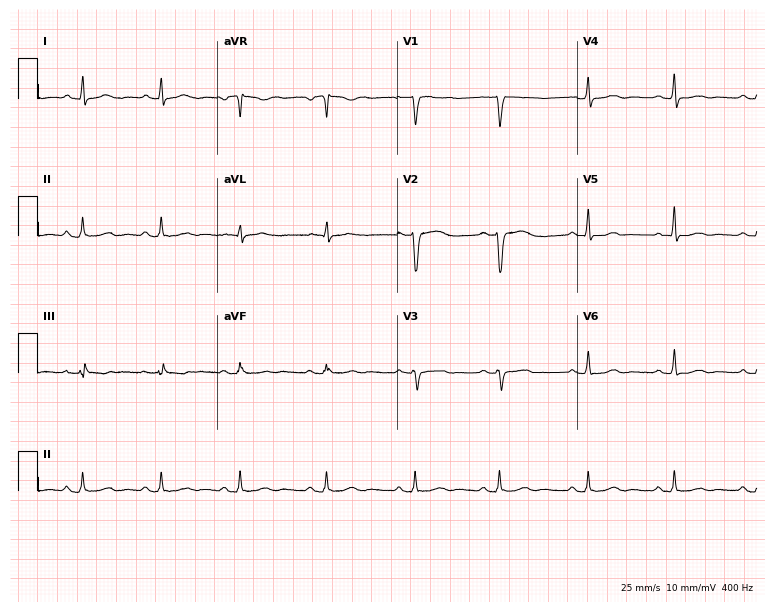
Electrocardiogram, a 38-year-old female patient. Of the six screened findings (first-degree AV block, right bundle branch block, left bundle branch block, sinus bradycardia, atrial fibrillation, sinus tachycardia), none is recorded.